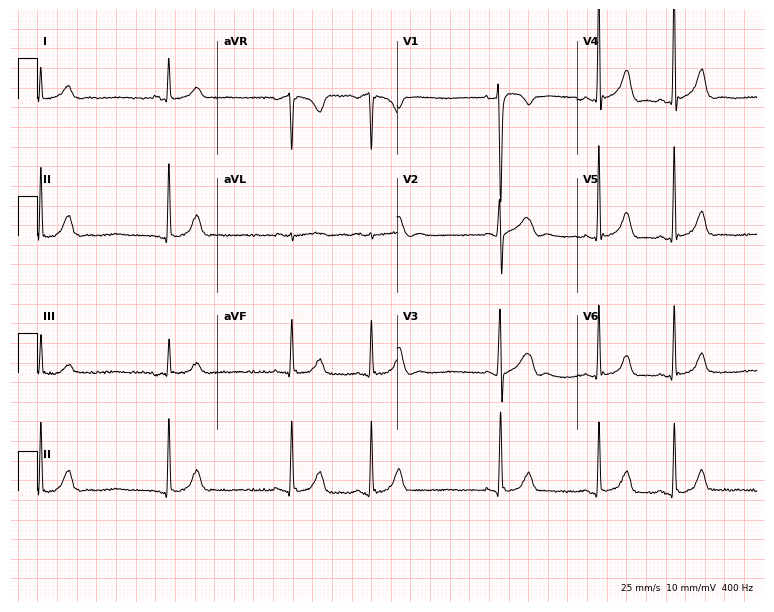
Electrocardiogram, a 17-year-old male patient. Overall reading on record: normal ECG.